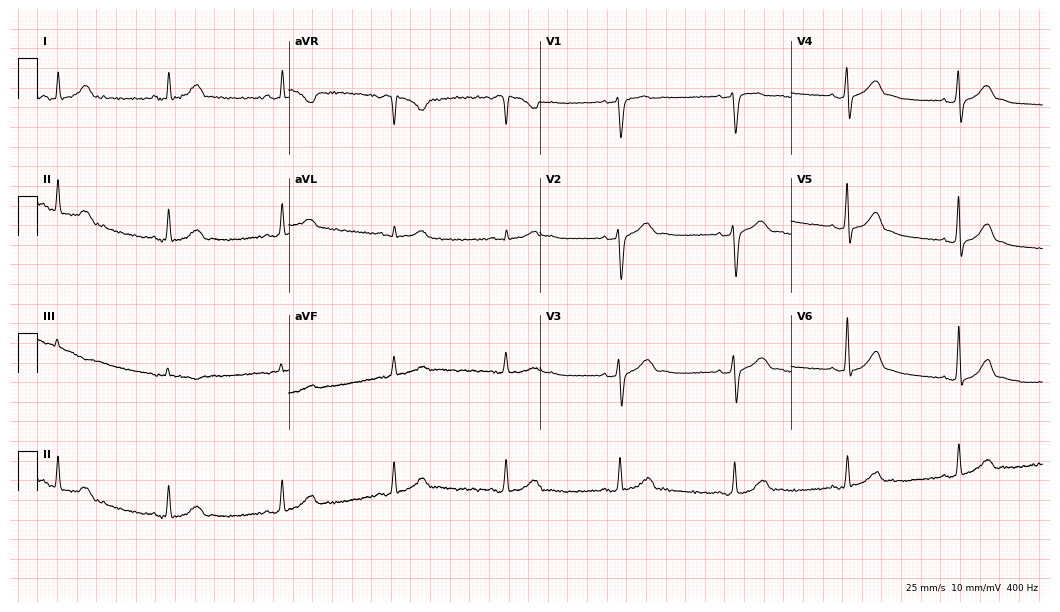
Standard 12-lead ECG recorded from a 30-year-old woman. Read as a normal ECG.